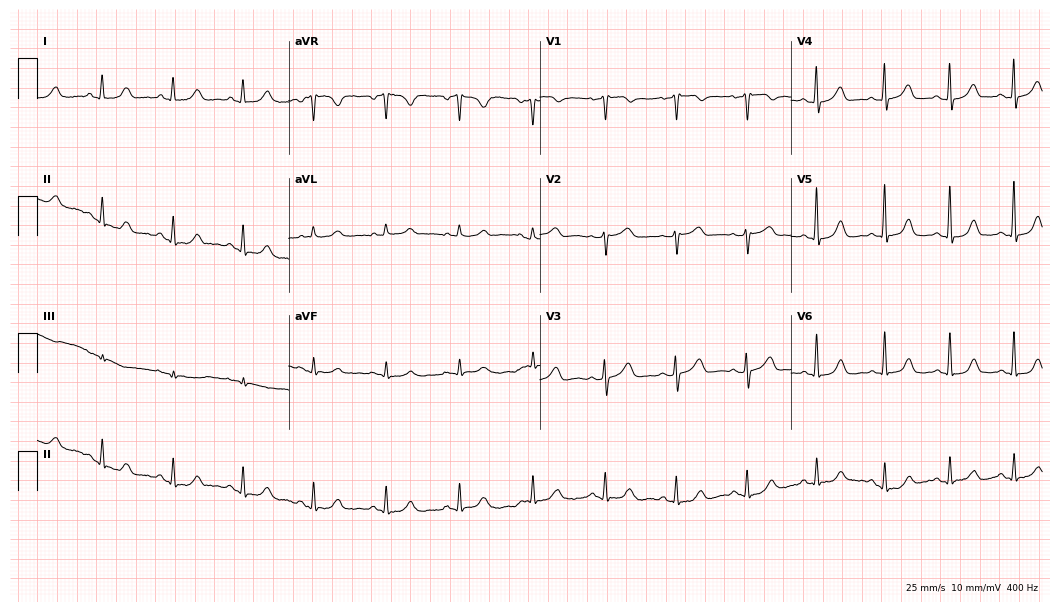
12-lead ECG (10.2-second recording at 400 Hz) from a 59-year-old female. Screened for six findings — first-degree AV block, right bundle branch block (RBBB), left bundle branch block (LBBB), sinus bradycardia, atrial fibrillation (AF), sinus tachycardia — none is recorded. Findings outside these six are not listed.